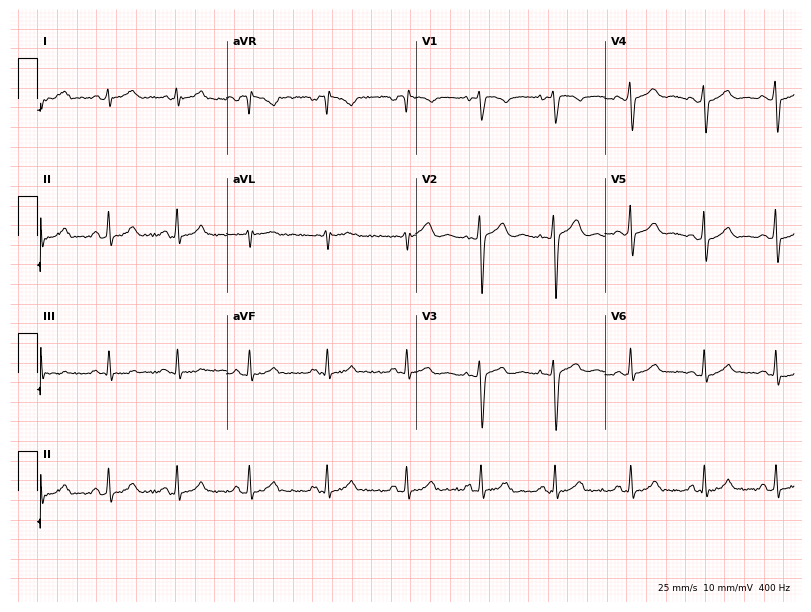
12-lead ECG from a man, 20 years old. Labelled as a normal ECG.